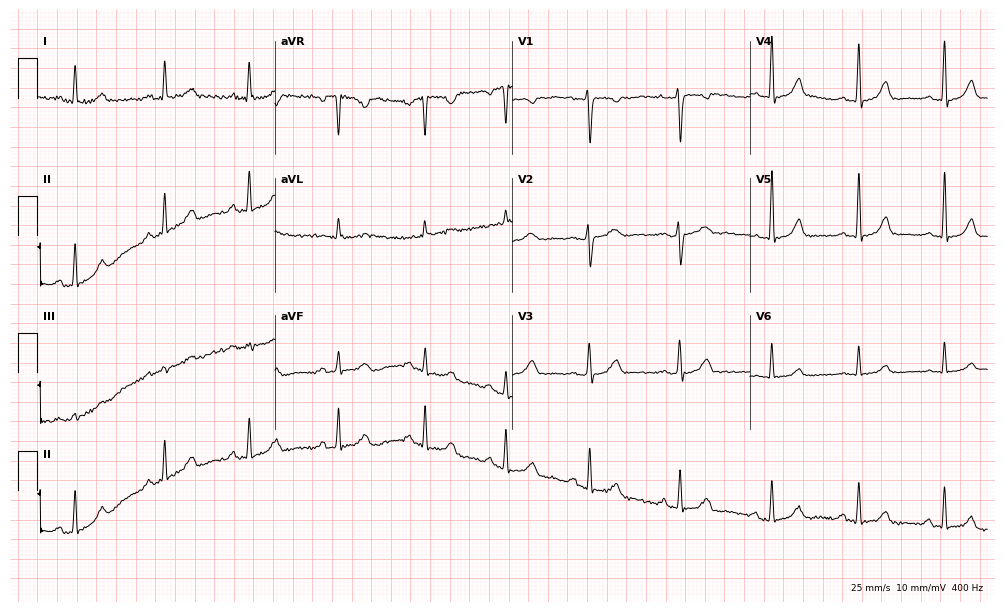
Standard 12-lead ECG recorded from a woman, 37 years old (9.7-second recording at 400 Hz). Read as a normal ECG.